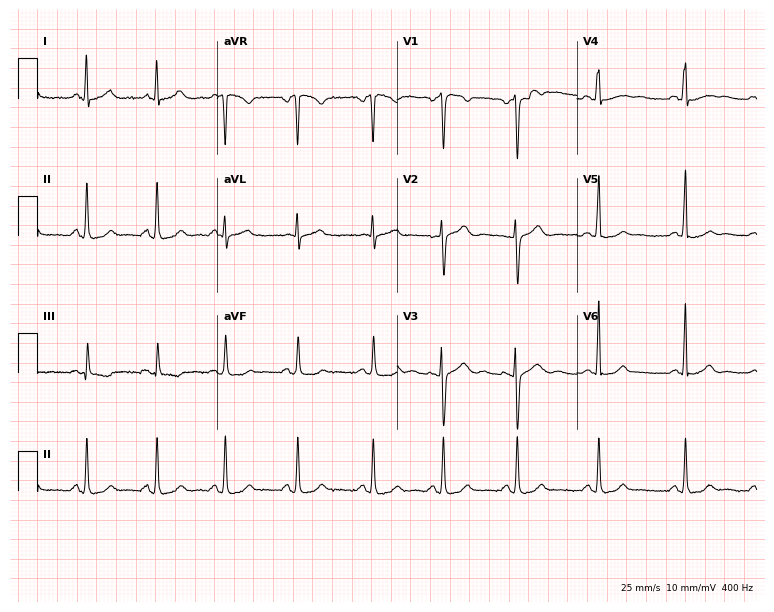
12-lead ECG from a 28-year-old female (7.3-second recording at 400 Hz). No first-degree AV block, right bundle branch block, left bundle branch block, sinus bradycardia, atrial fibrillation or sinus tachycardia recorded for this tracing.